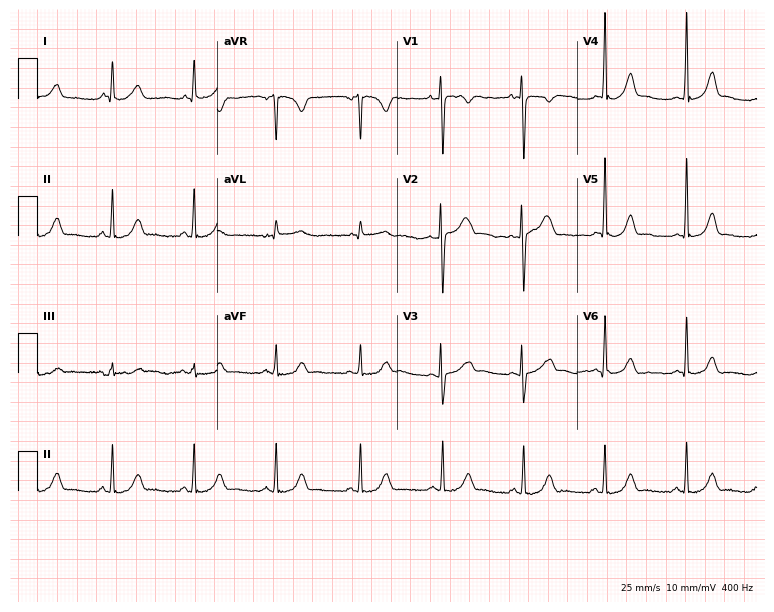
Electrocardiogram (7.3-second recording at 400 Hz), a female, 40 years old. Overall reading on record: normal ECG.